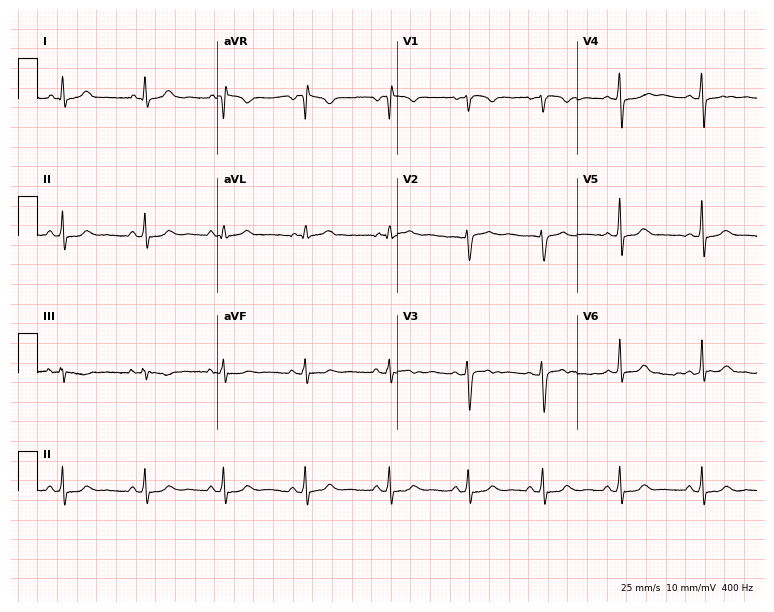
Resting 12-lead electrocardiogram. Patient: a 25-year-old woman. None of these six findings is recorded: first-degree AV block, right bundle branch block (RBBB), left bundle branch block (LBBB), sinus bradycardia, atrial fibrillation (AF), sinus tachycardia. Findings outside these six are not listed.